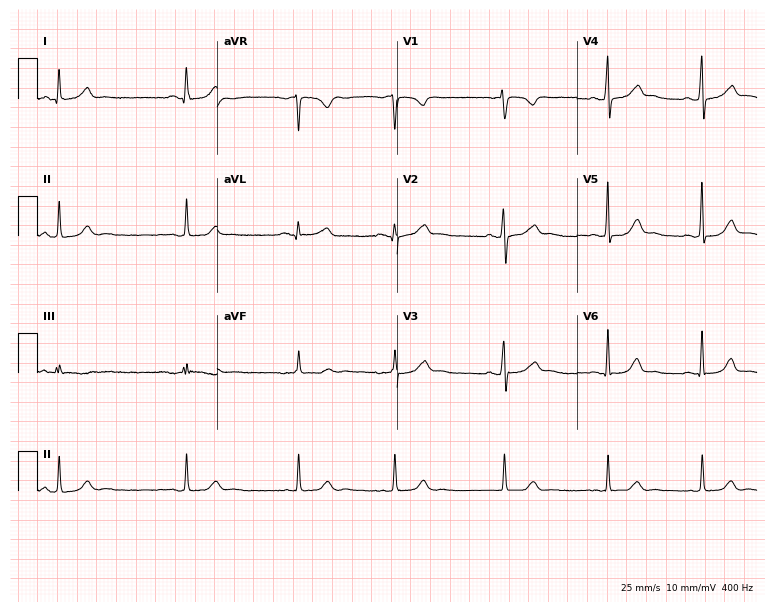
12-lead ECG from a woman, 33 years old (7.3-second recording at 400 Hz). Recorded interpretation: within normal limits.